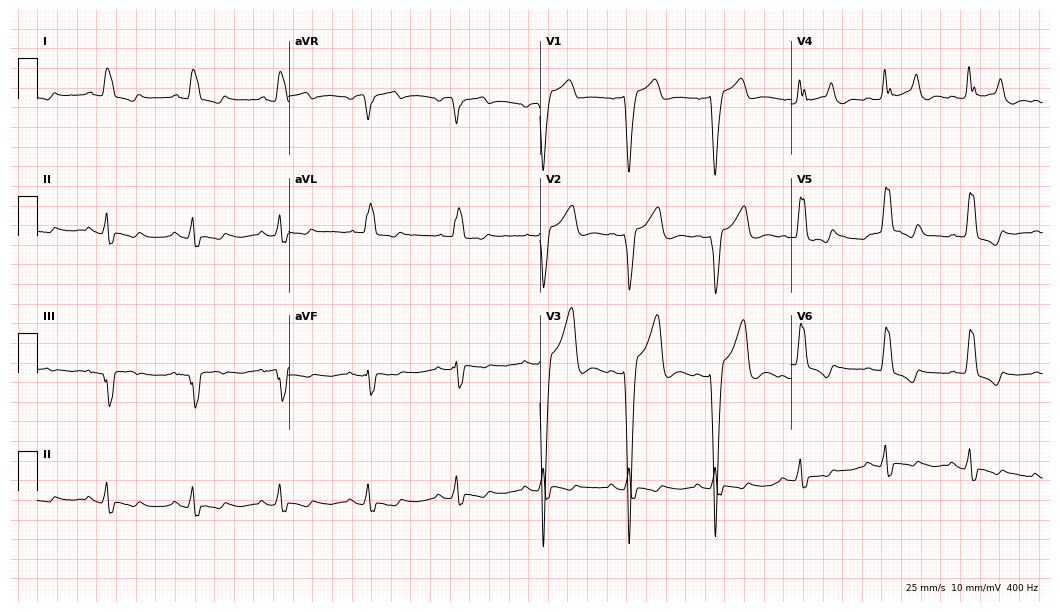
Standard 12-lead ECG recorded from a 45-year-old woman. The tracing shows left bundle branch block.